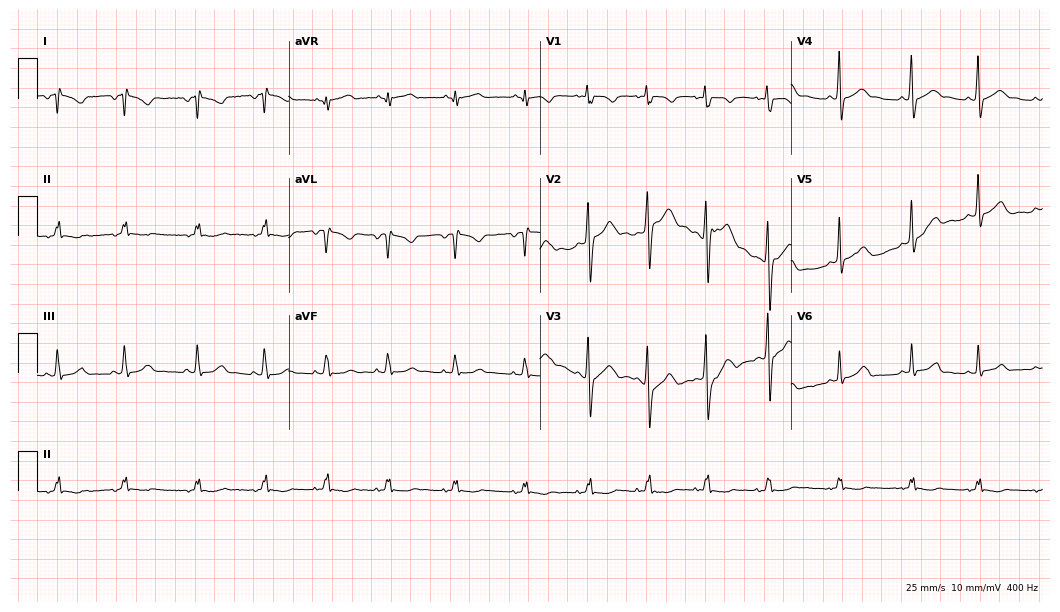
Electrocardiogram (10.2-second recording at 400 Hz), a 17-year-old female patient. Of the six screened findings (first-degree AV block, right bundle branch block, left bundle branch block, sinus bradycardia, atrial fibrillation, sinus tachycardia), none is recorded.